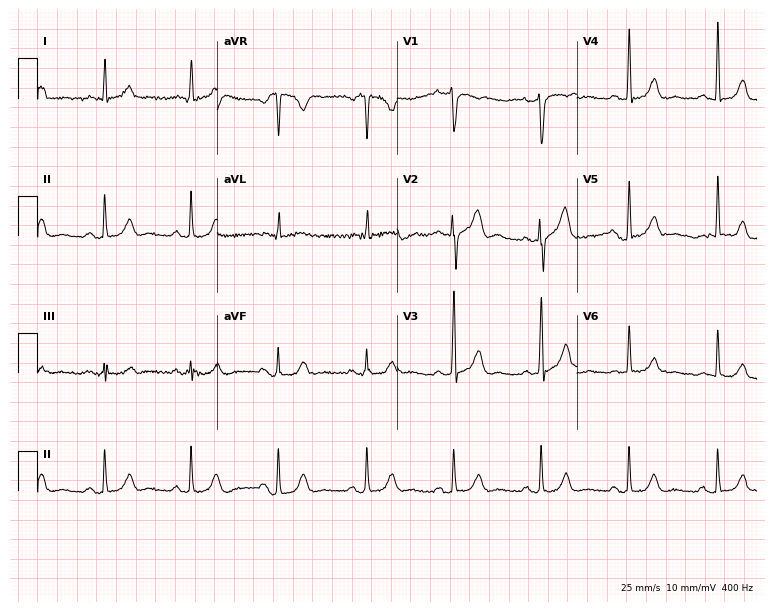
Standard 12-lead ECG recorded from a 60-year-old male patient (7.3-second recording at 400 Hz). Read as a normal ECG.